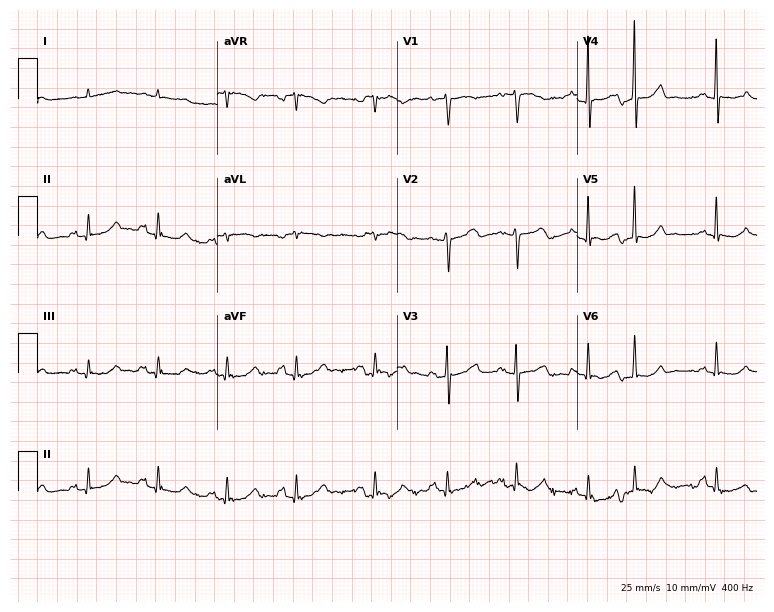
Resting 12-lead electrocardiogram. Patient: an 82-year-old female. Read as a normal ECG.